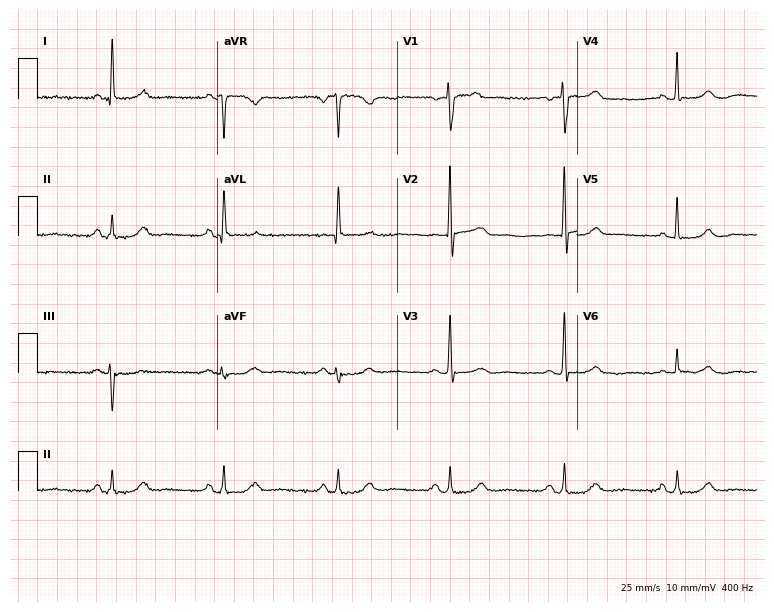
Resting 12-lead electrocardiogram (7.3-second recording at 400 Hz). Patient: a 74-year-old female. None of these six findings is recorded: first-degree AV block, right bundle branch block (RBBB), left bundle branch block (LBBB), sinus bradycardia, atrial fibrillation (AF), sinus tachycardia. Findings outside these six are not listed.